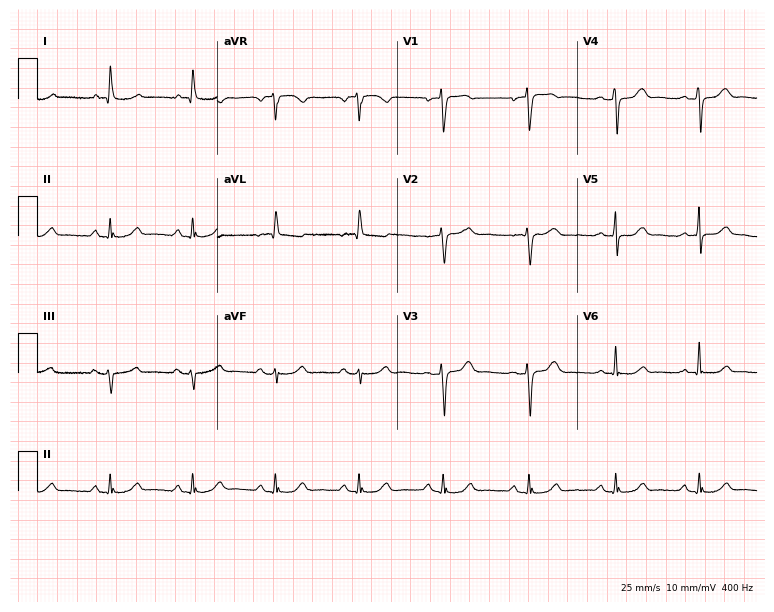
12-lead ECG from a 66-year-old woman. No first-degree AV block, right bundle branch block (RBBB), left bundle branch block (LBBB), sinus bradycardia, atrial fibrillation (AF) or sinus tachycardia recorded for this tracing. Only these six findings were labelled.